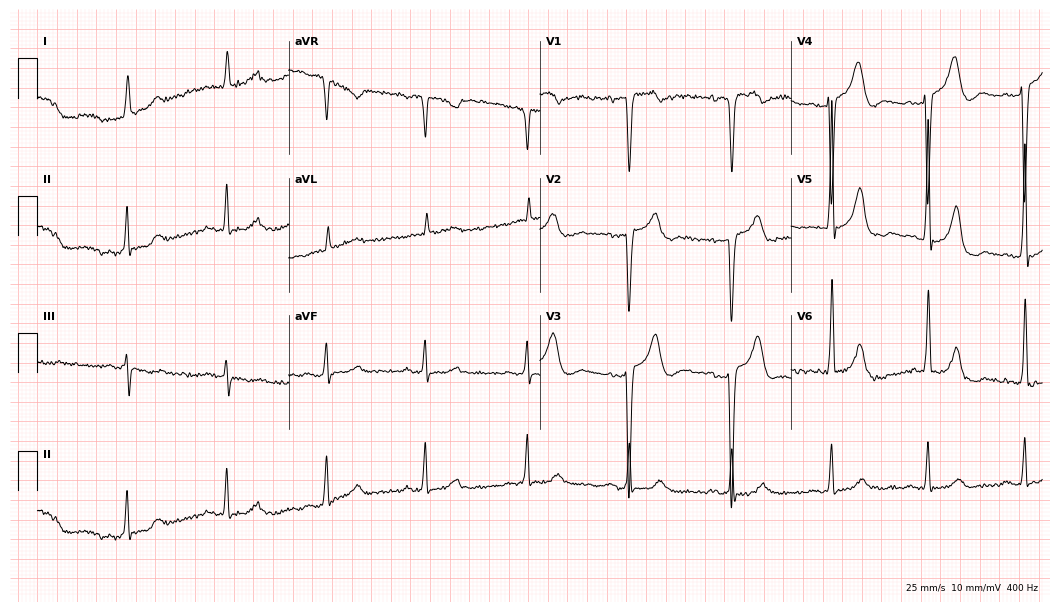
Resting 12-lead electrocardiogram (10.2-second recording at 400 Hz). Patient: an 82-year-old male. None of these six findings is recorded: first-degree AV block, right bundle branch block (RBBB), left bundle branch block (LBBB), sinus bradycardia, atrial fibrillation (AF), sinus tachycardia.